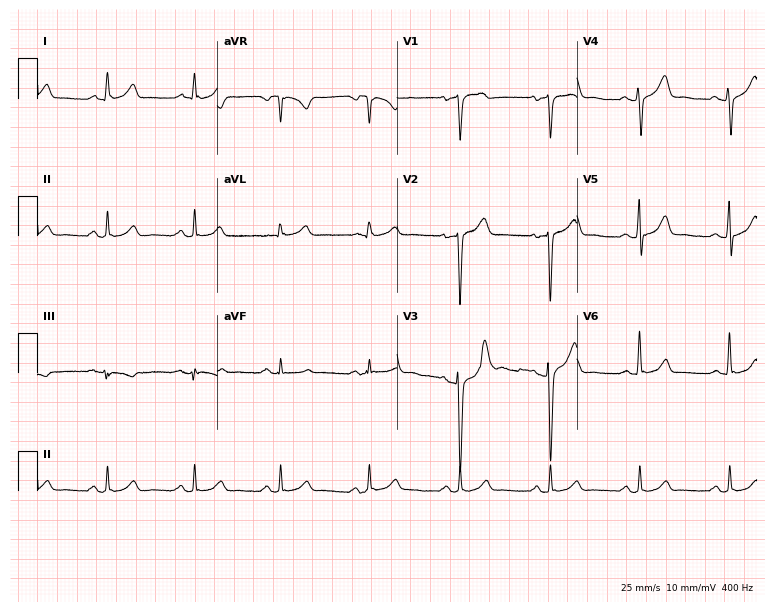
ECG — a 44-year-old man. Labelled as a normal ECG.